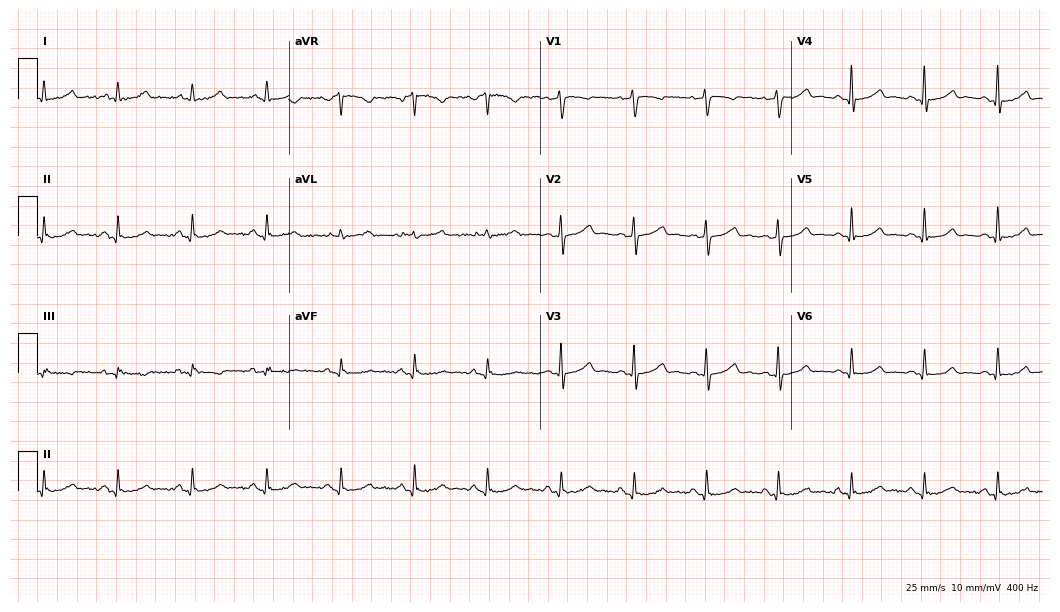
Resting 12-lead electrocardiogram (10.2-second recording at 400 Hz). Patient: a 78-year-old female. None of these six findings is recorded: first-degree AV block, right bundle branch block, left bundle branch block, sinus bradycardia, atrial fibrillation, sinus tachycardia. Other findings, if any, are not listed.